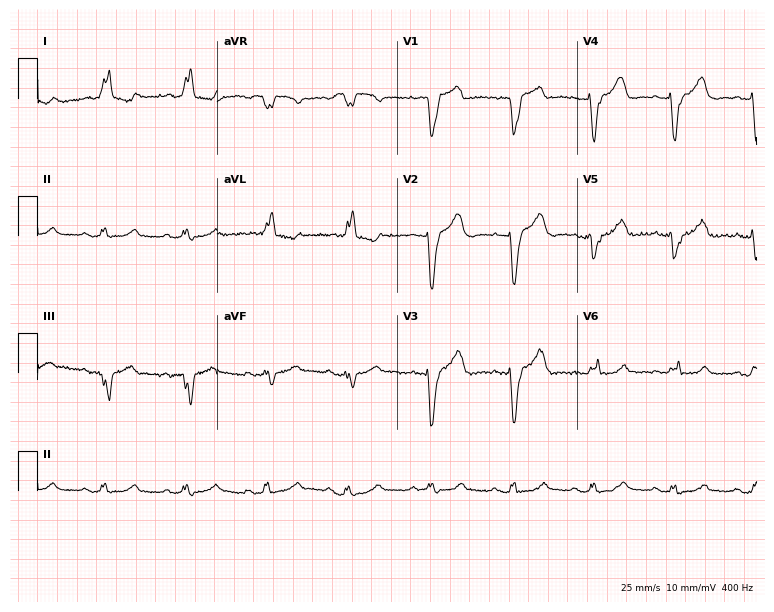
Electrocardiogram (7.3-second recording at 400 Hz), a 79-year-old female patient. Interpretation includes left bundle branch block (LBBB).